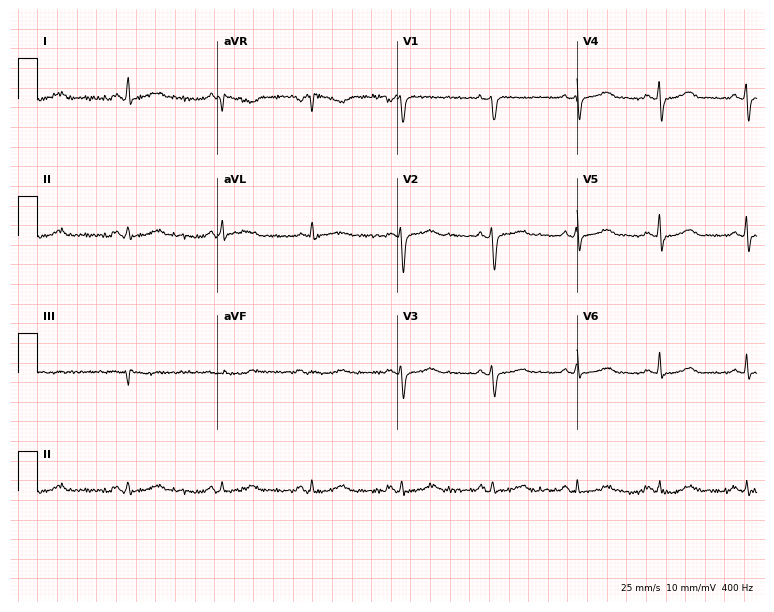
12-lead ECG (7.3-second recording at 400 Hz) from a female, 42 years old. Labelled as a normal ECG.